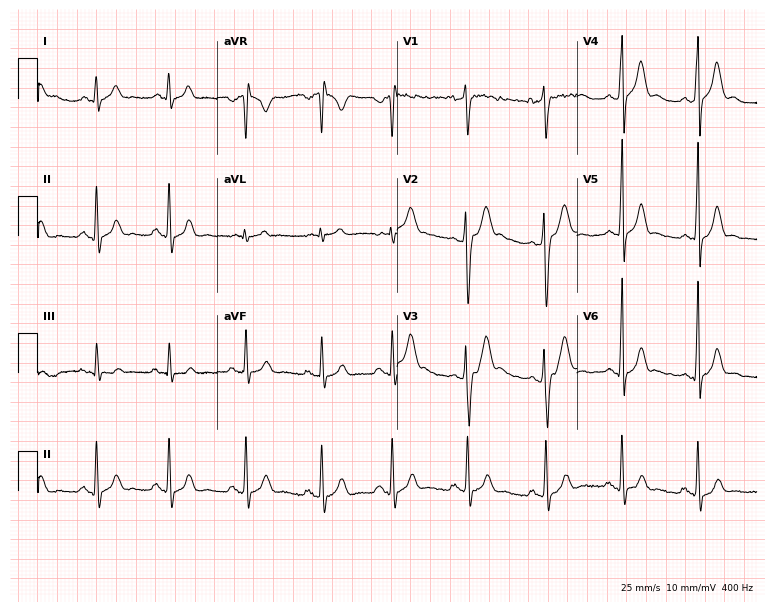
12-lead ECG from a male, 25 years old. Screened for six findings — first-degree AV block, right bundle branch block, left bundle branch block, sinus bradycardia, atrial fibrillation, sinus tachycardia — none is recorded.